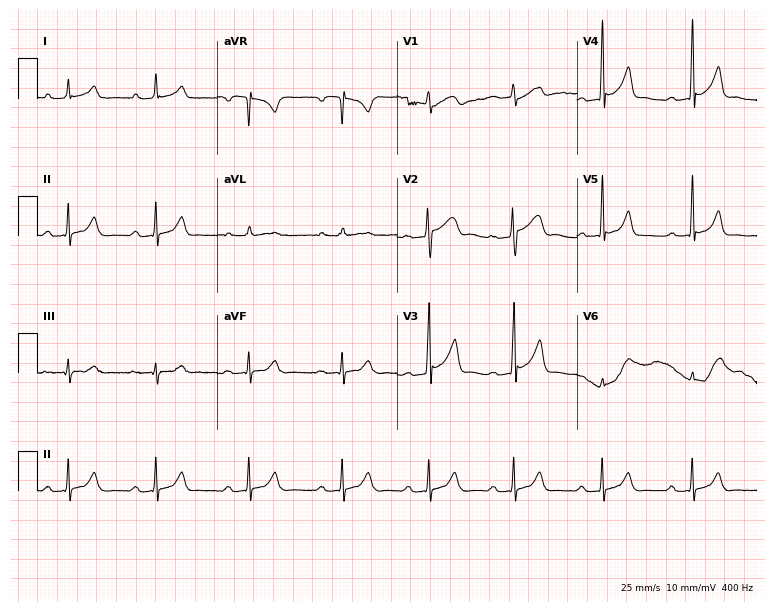
Electrocardiogram, a 25-year-old man. Interpretation includes first-degree AV block.